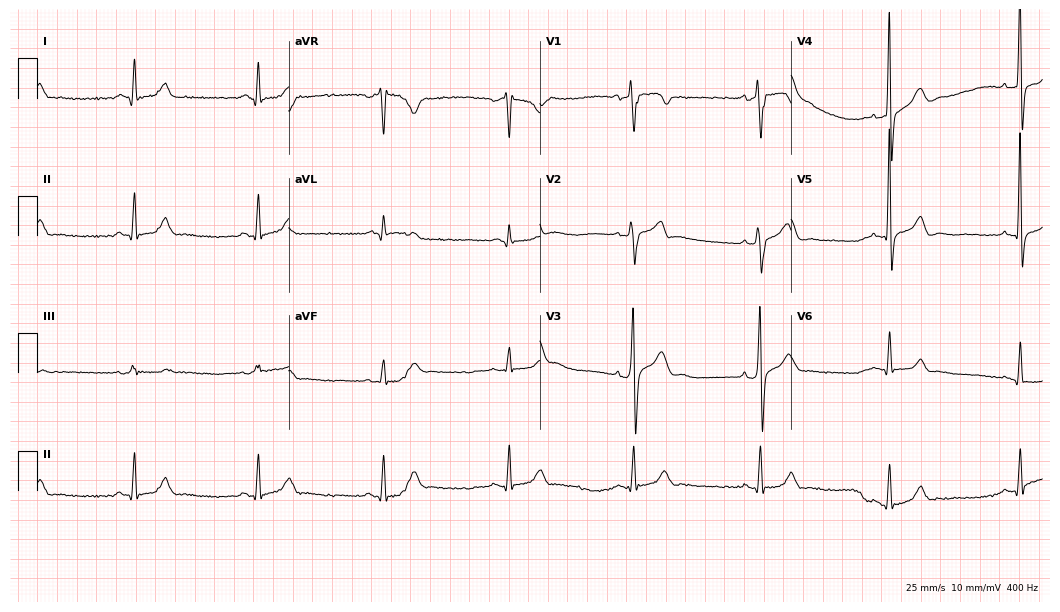
Standard 12-lead ECG recorded from a male patient, 60 years old. None of these six findings is recorded: first-degree AV block, right bundle branch block, left bundle branch block, sinus bradycardia, atrial fibrillation, sinus tachycardia. Only these six findings were labelled.